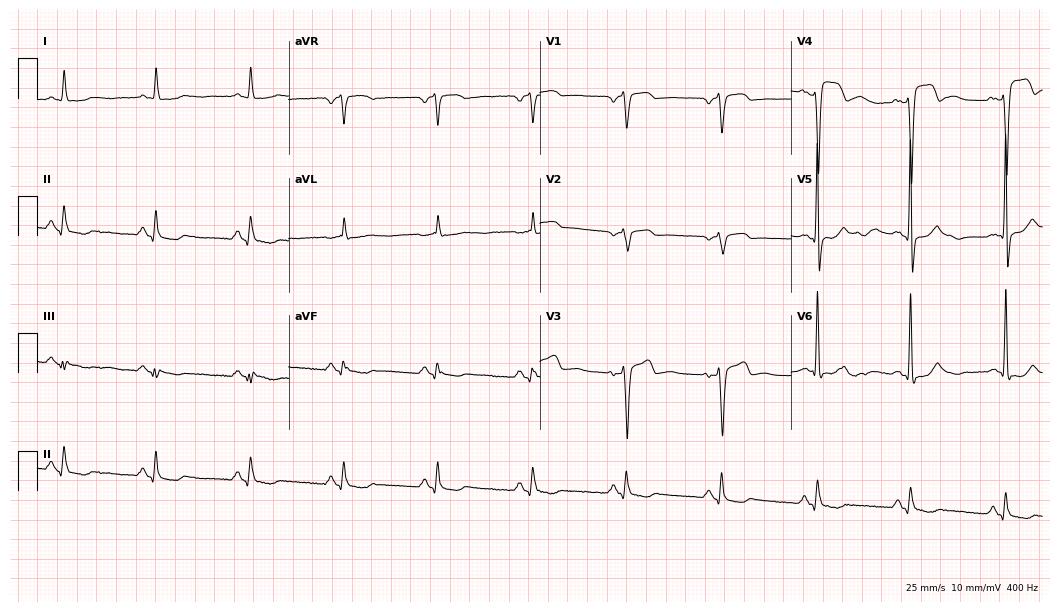
Standard 12-lead ECG recorded from a 75-year-old man (10.2-second recording at 400 Hz). None of these six findings is recorded: first-degree AV block, right bundle branch block, left bundle branch block, sinus bradycardia, atrial fibrillation, sinus tachycardia.